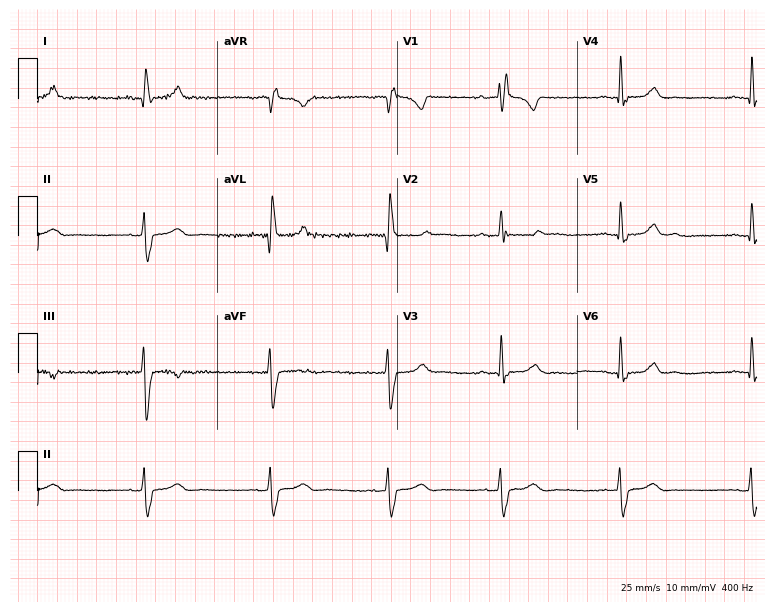
Electrocardiogram, a female, 46 years old. Interpretation includes right bundle branch block (RBBB).